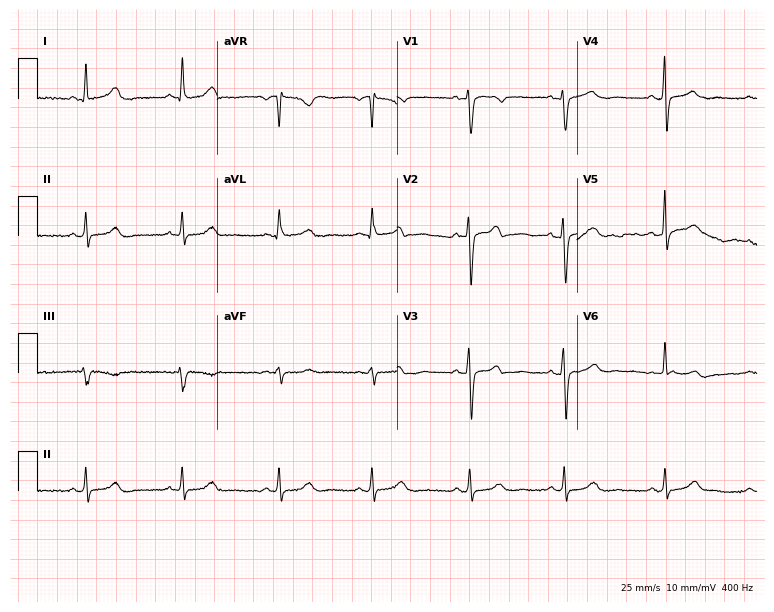
12-lead ECG from a woman, 50 years old. No first-degree AV block, right bundle branch block, left bundle branch block, sinus bradycardia, atrial fibrillation or sinus tachycardia recorded for this tracing. Only these six findings were labelled.